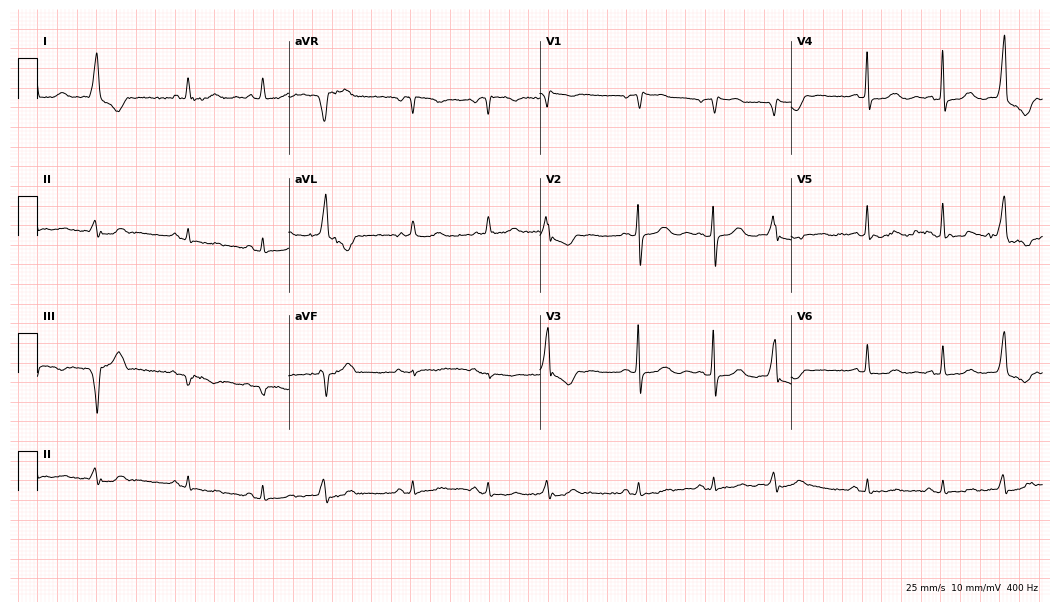
Standard 12-lead ECG recorded from an 83-year-old female patient (10.2-second recording at 400 Hz). None of these six findings is recorded: first-degree AV block, right bundle branch block (RBBB), left bundle branch block (LBBB), sinus bradycardia, atrial fibrillation (AF), sinus tachycardia. Findings outside these six are not listed.